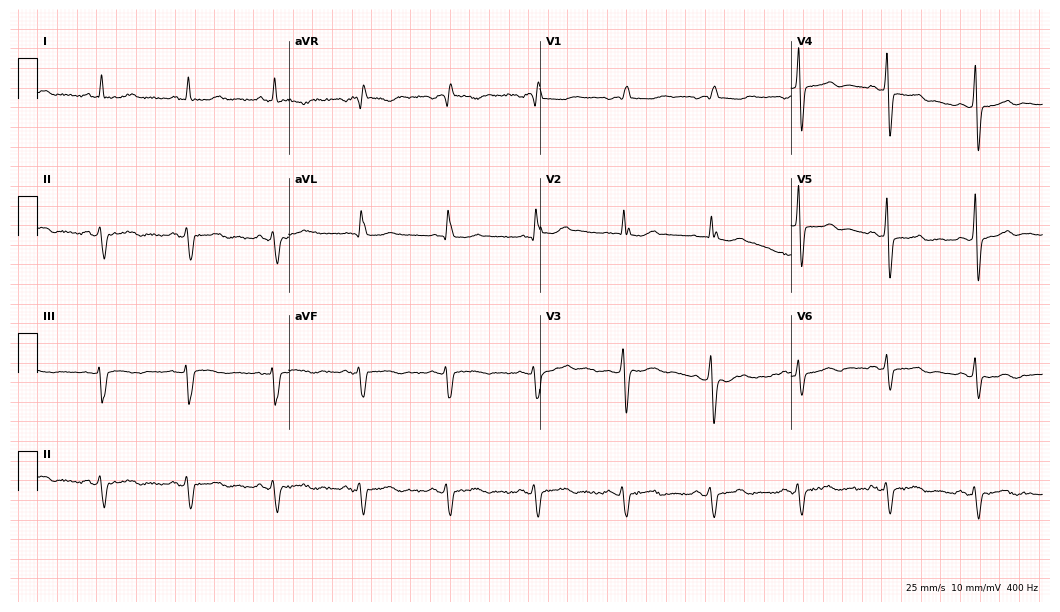
Standard 12-lead ECG recorded from a man, 72 years old (10.2-second recording at 400 Hz). None of these six findings is recorded: first-degree AV block, right bundle branch block, left bundle branch block, sinus bradycardia, atrial fibrillation, sinus tachycardia.